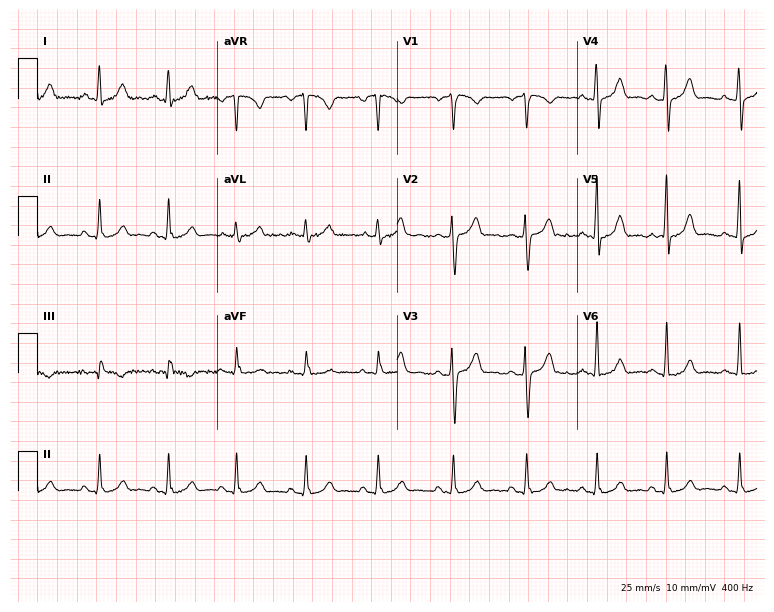
Electrocardiogram (7.3-second recording at 400 Hz), a woman, 36 years old. Overall reading on record: normal ECG.